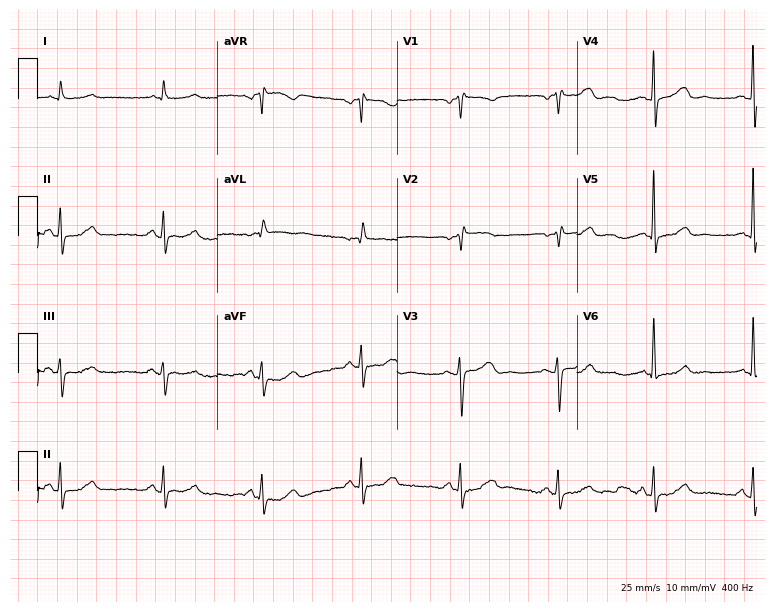
Electrocardiogram (7.3-second recording at 400 Hz), a female, 63 years old. Of the six screened findings (first-degree AV block, right bundle branch block (RBBB), left bundle branch block (LBBB), sinus bradycardia, atrial fibrillation (AF), sinus tachycardia), none is recorded.